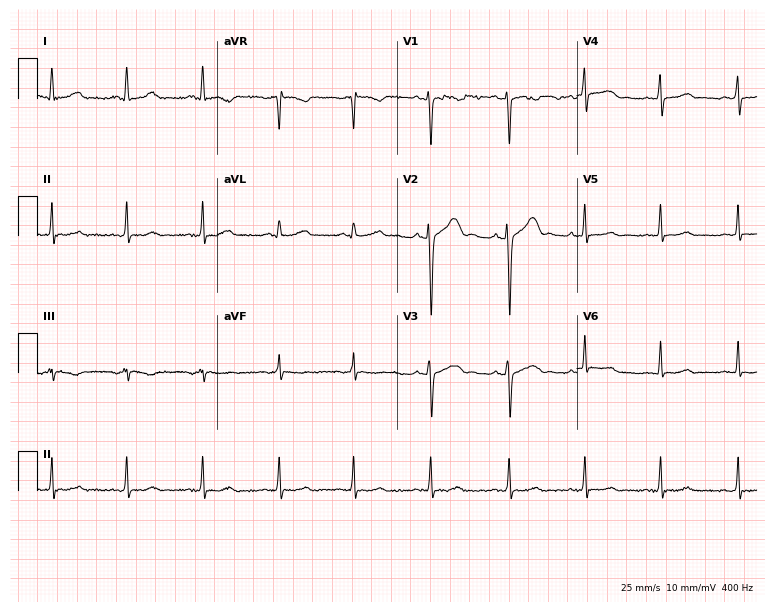
12-lead ECG from a female, 43 years old (7.3-second recording at 400 Hz). No first-degree AV block, right bundle branch block, left bundle branch block, sinus bradycardia, atrial fibrillation or sinus tachycardia recorded for this tracing. Other findings, if any, are not listed.